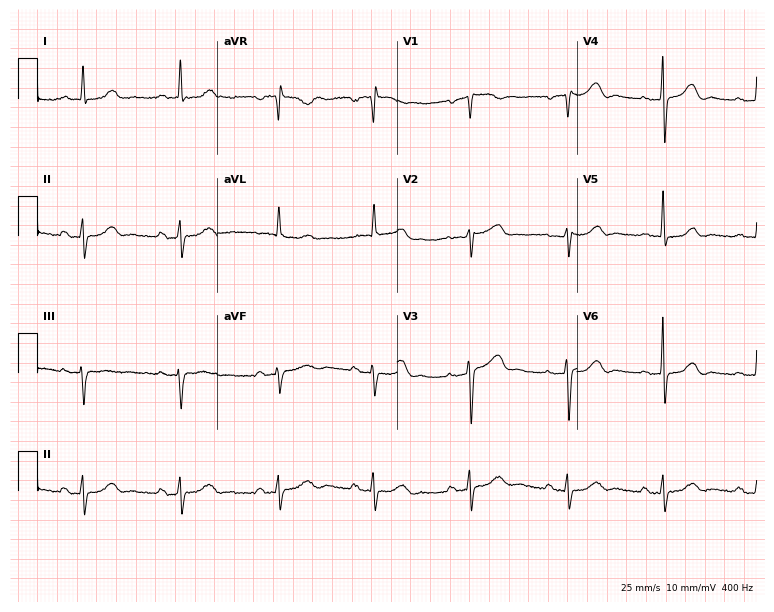
Standard 12-lead ECG recorded from a 44-year-old female (7.3-second recording at 400 Hz). None of these six findings is recorded: first-degree AV block, right bundle branch block (RBBB), left bundle branch block (LBBB), sinus bradycardia, atrial fibrillation (AF), sinus tachycardia.